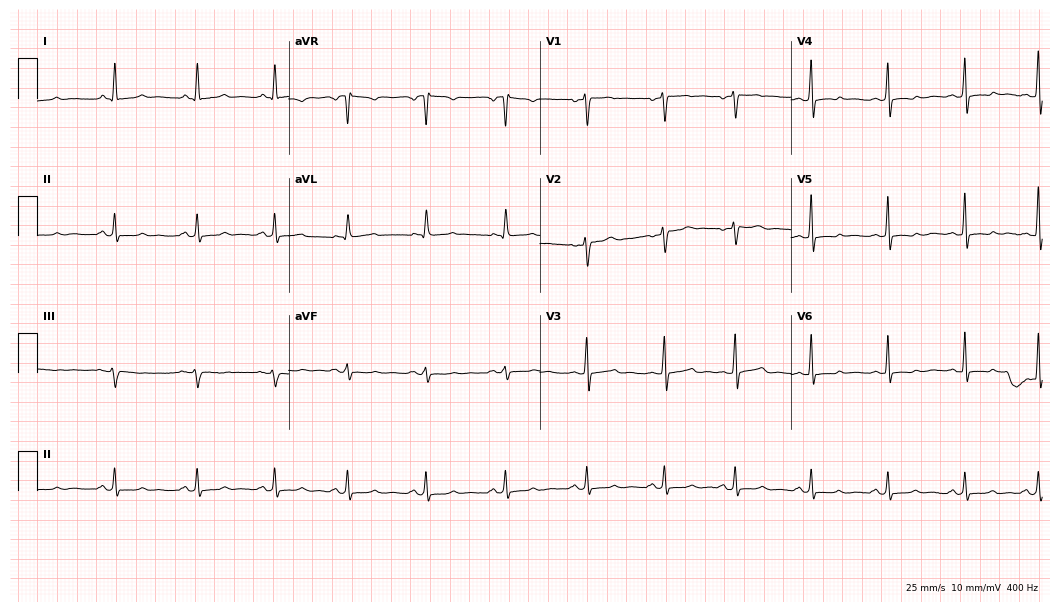
12-lead ECG (10.2-second recording at 400 Hz) from a 38-year-old female patient. Labelled as a normal ECG.